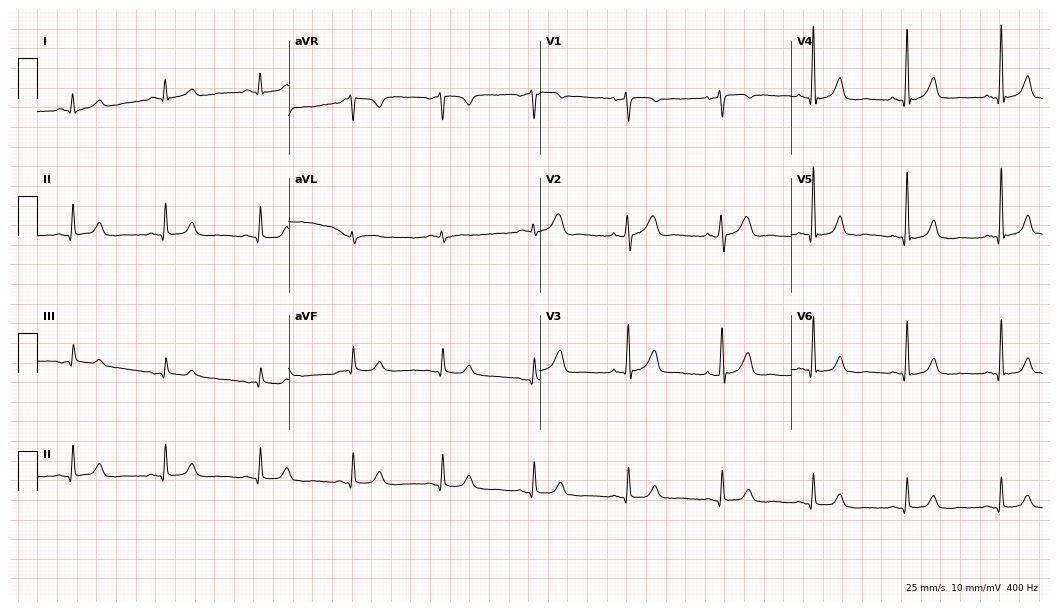
Electrocardiogram (10.2-second recording at 400 Hz), a male patient, 58 years old. Overall reading on record: normal ECG.